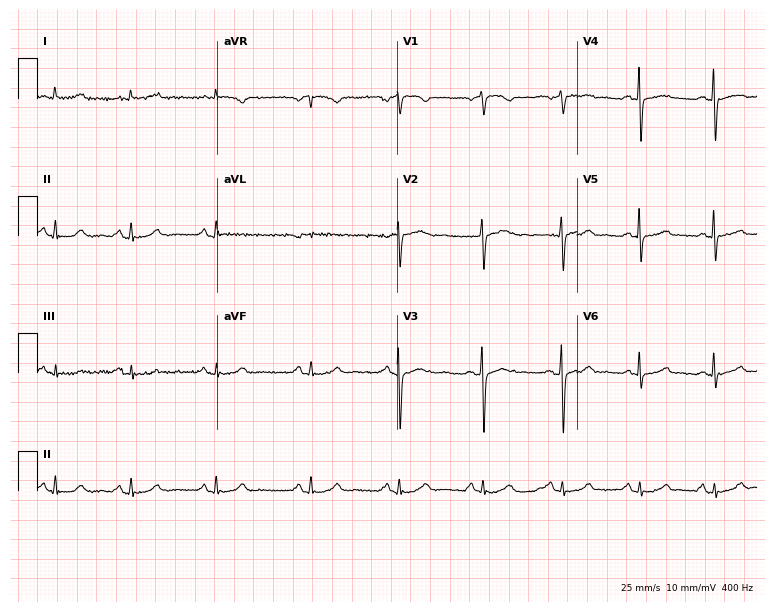
12-lead ECG (7.3-second recording at 400 Hz) from a 52-year-old woman. Screened for six findings — first-degree AV block, right bundle branch block, left bundle branch block, sinus bradycardia, atrial fibrillation, sinus tachycardia — none is recorded.